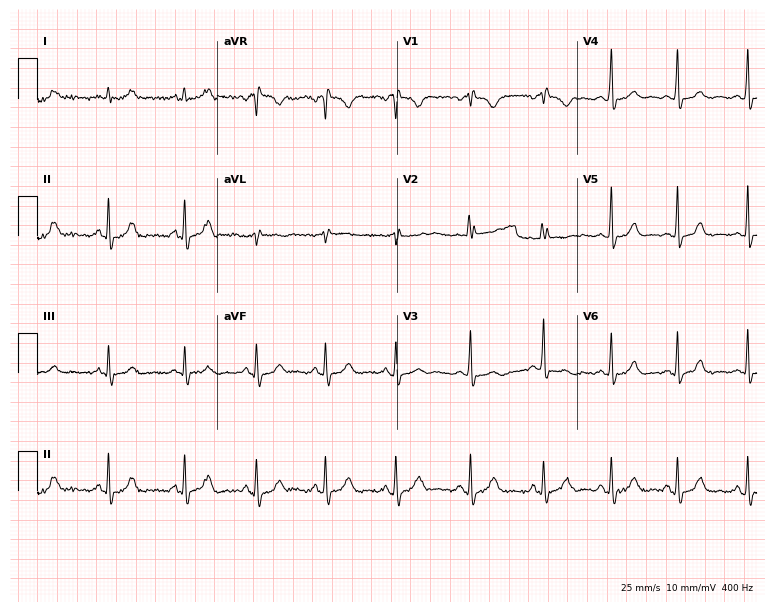
12-lead ECG from a 29-year-old female. Recorded interpretation: within normal limits.